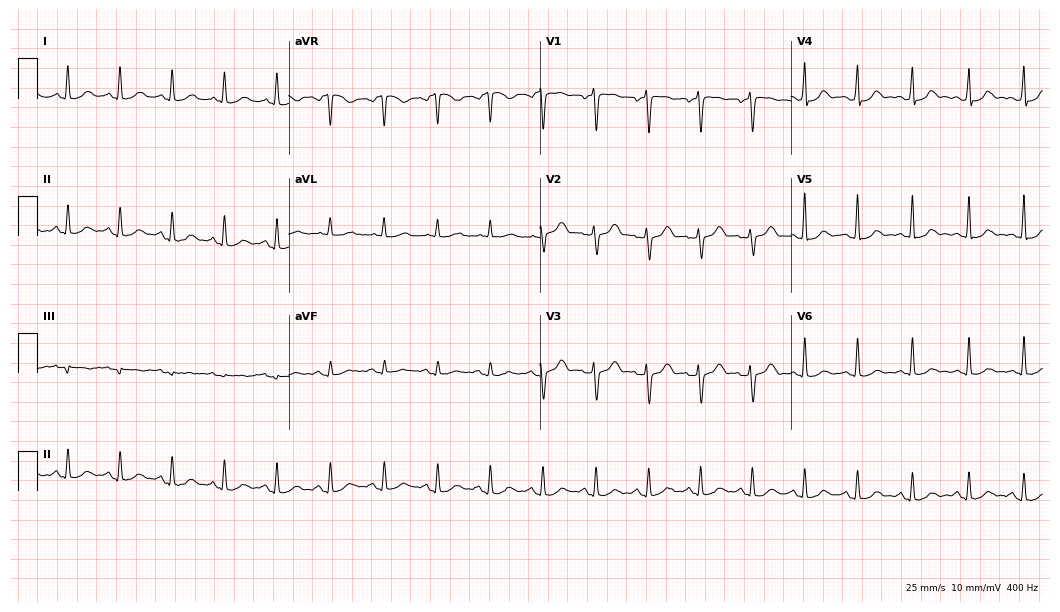
ECG (10.2-second recording at 400 Hz) — a 35-year-old female. Screened for six findings — first-degree AV block, right bundle branch block (RBBB), left bundle branch block (LBBB), sinus bradycardia, atrial fibrillation (AF), sinus tachycardia — none is recorded.